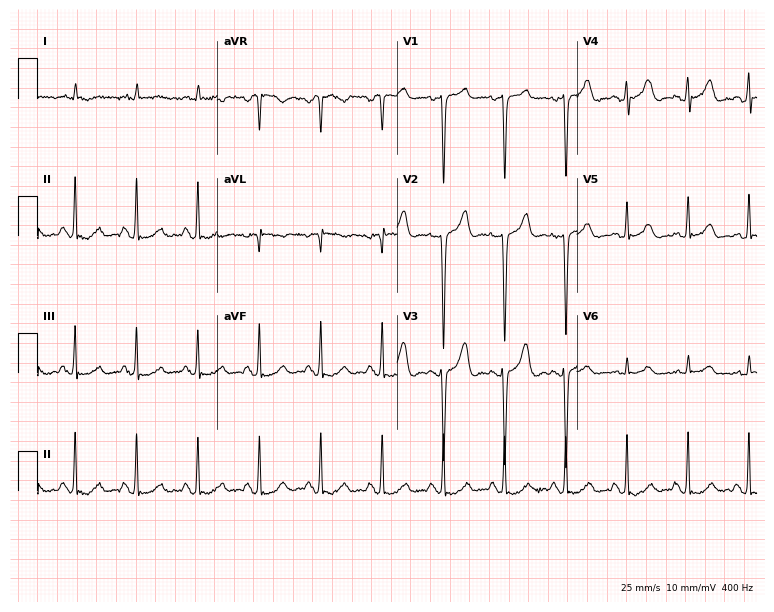
12-lead ECG from a man, 77 years old. No first-degree AV block, right bundle branch block, left bundle branch block, sinus bradycardia, atrial fibrillation or sinus tachycardia recorded for this tracing.